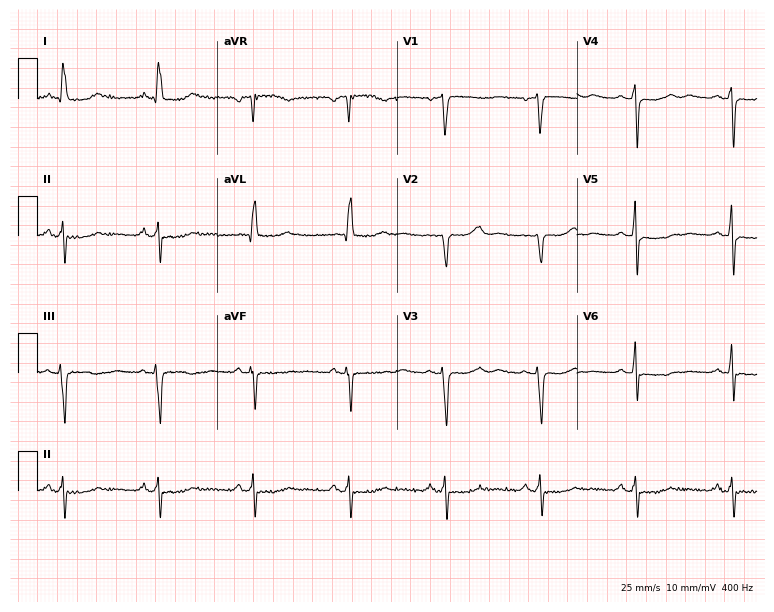
Electrocardiogram, a 74-year-old woman. Of the six screened findings (first-degree AV block, right bundle branch block, left bundle branch block, sinus bradycardia, atrial fibrillation, sinus tachycardia), none is recorded.